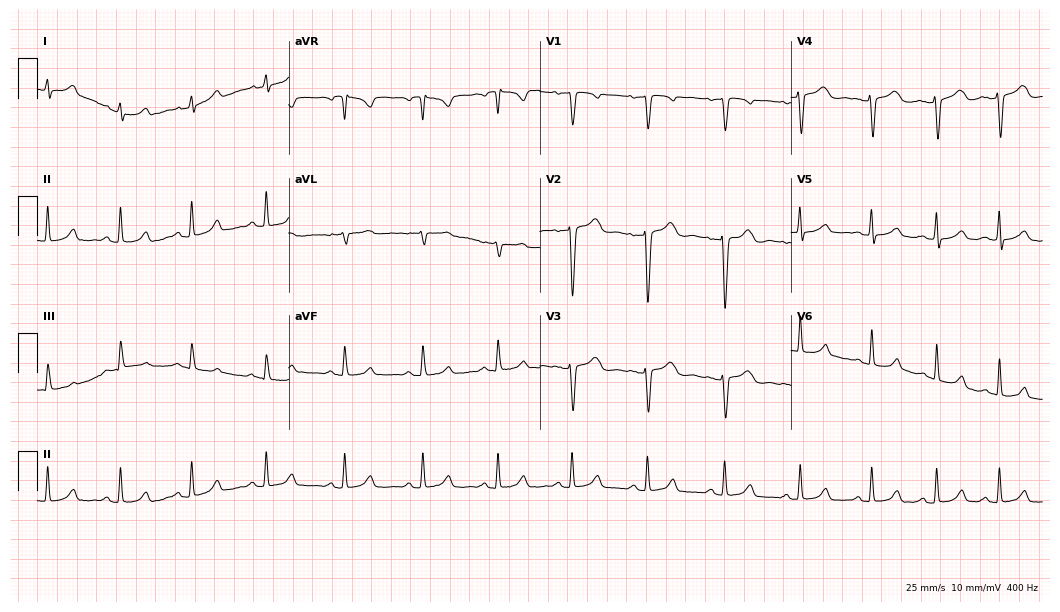
Standard 12-lead ECG recorded from a female, 32 years old (10.2-second recording at 400 Hz). None of these six findings is recorded: first-degree AV block, right bundle branch block (RBBB), left bundle branch block (LBBB), sinus bradycardia, atrial fibrillation (AF), sinus tachycardia.